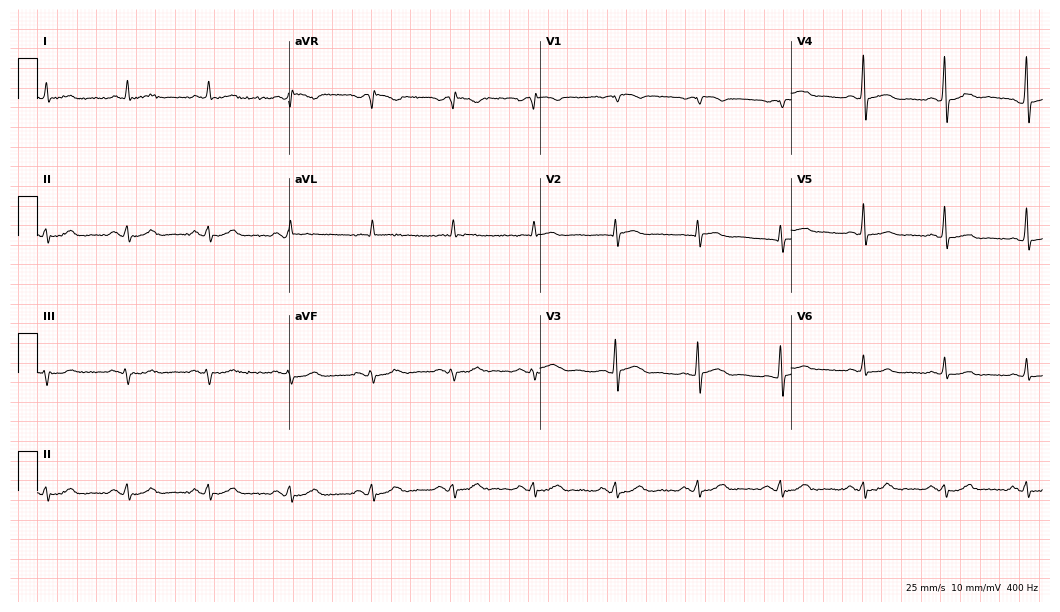
Electrocardiogram (10.2-second recording at 400 Hz), a 72-year-old man. Of the six screened findings (first-degree AV block, right bundle branch block, left bundle branch block, sinus bradycardia, atrial fibrillation, sinus tachycardia), none is recorded.